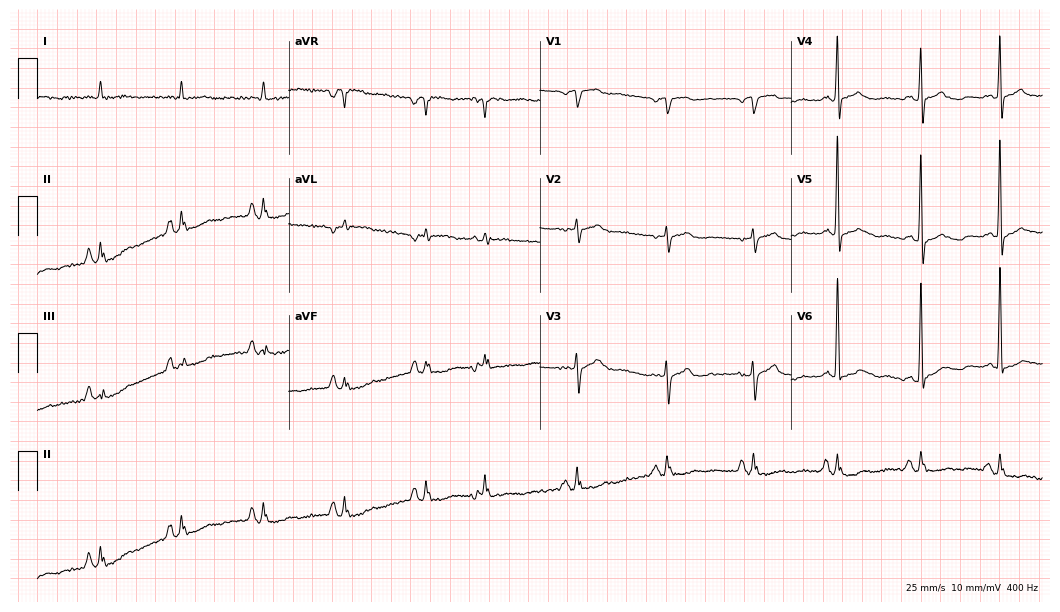
Electrocardiogram, an 80-year-old man. Of the six screened findings (first-degree AV block, right bundle branch block (RBBB), left bundle branch block (LBBB), sinus bradycardia, atrial fibrillation (AF), sinus tachycardia), none is recorded. Other findings, if any, are not listed.